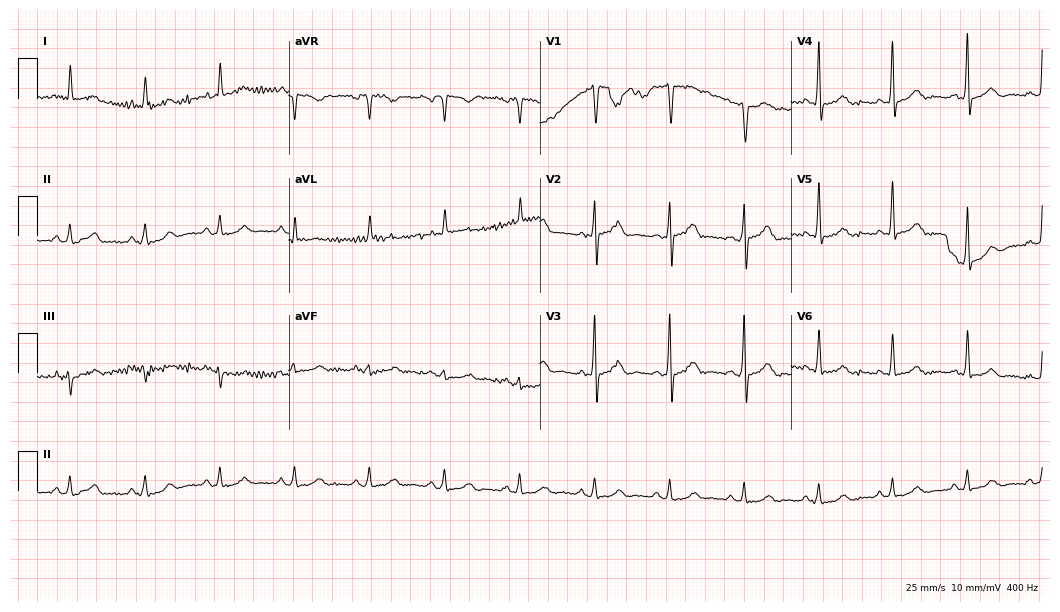
Resting 12-lead electrocardiogram (10.2-second recording at 400 Hz). Patient: a male, 75 years old. Read as a normal ECG.